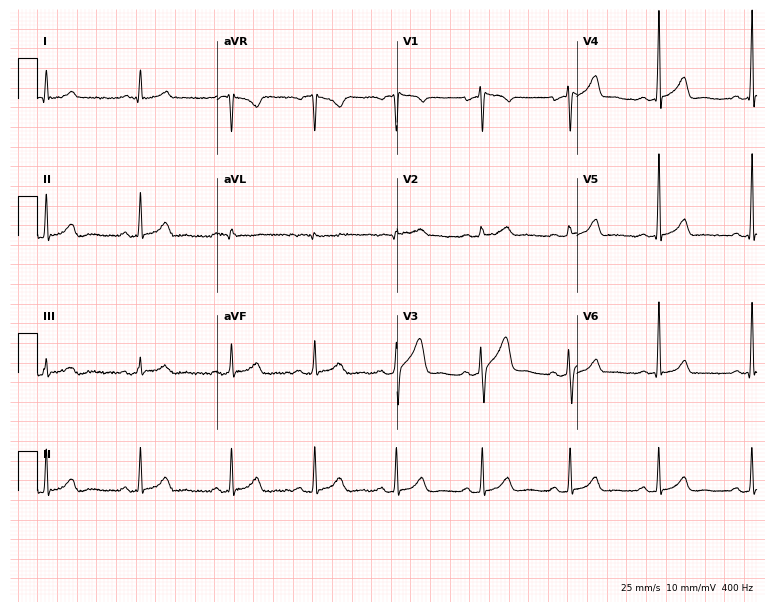
ECG (7.3-second recording at 400 Hz) — a male patient, 36 years old. Labelled as a normal ECG.